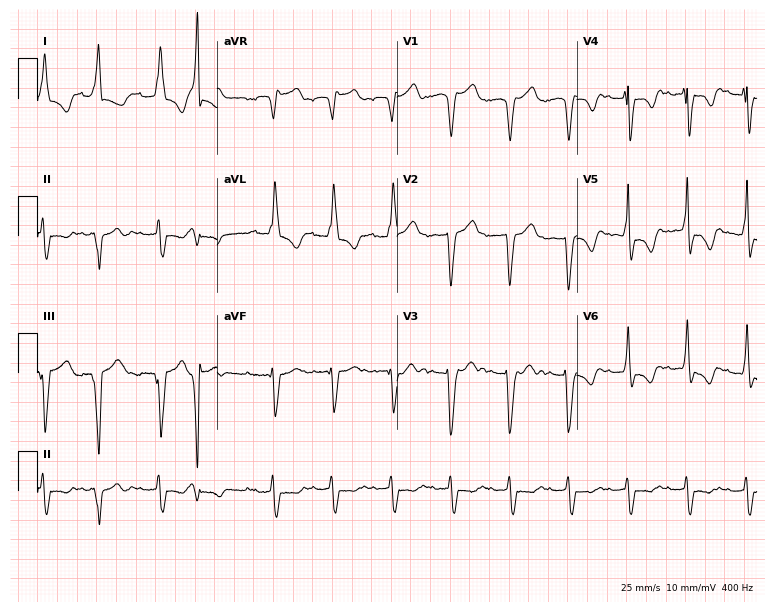
12-lead ECG from an 83-year-old male patient. Screened for six findings — first-degree AV block, right bundle branch block, left bundle branch block, sinus bradycardia, atrial fibrillation, sinus tachycardia — none is recorded. Other findings, if any, are not listed.